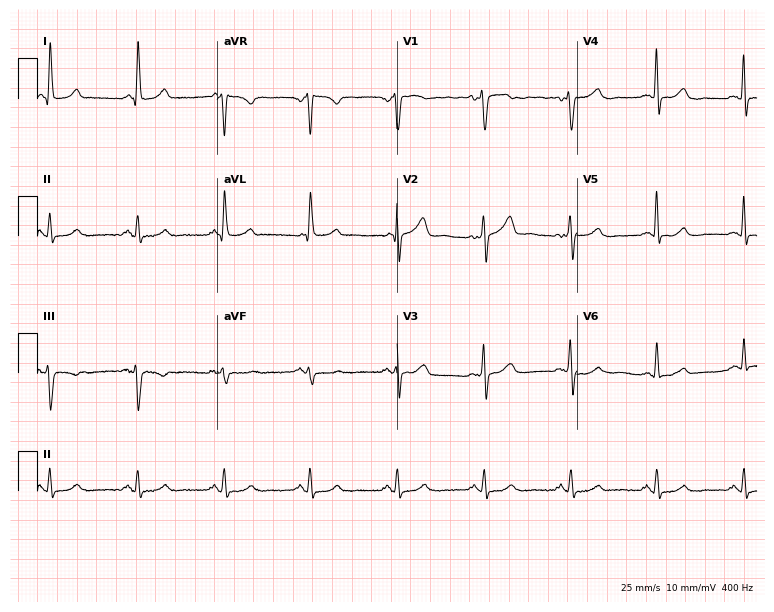
Electrocardiogram, a woman, 70 years old. Of the six screened findings (first-degree AV block, right bundle branch block (RBBB), left bundle branch block (LBBB), sinus bradycardia, atrial fibrillation (AF), sinus tachycardia), none is recorded. Findings outside these six are not listed.